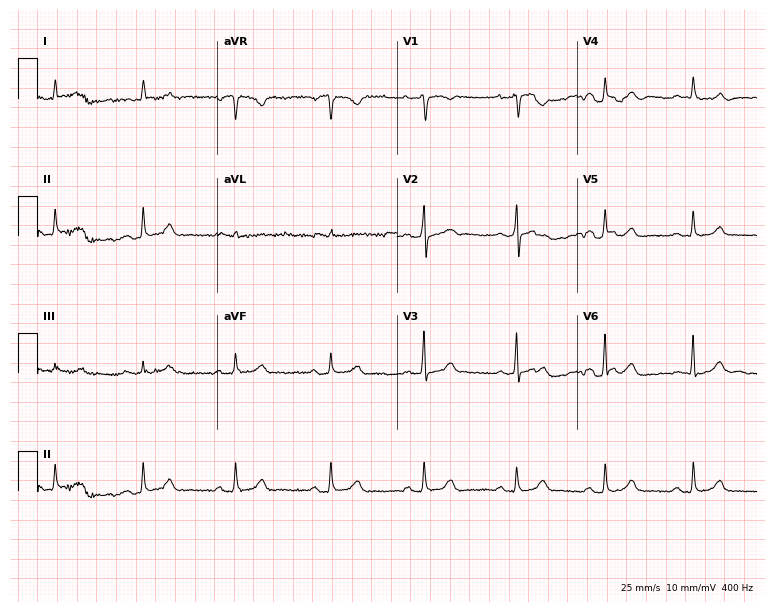
ECG — a female, 36 years old. Labelled as a normal ECG.